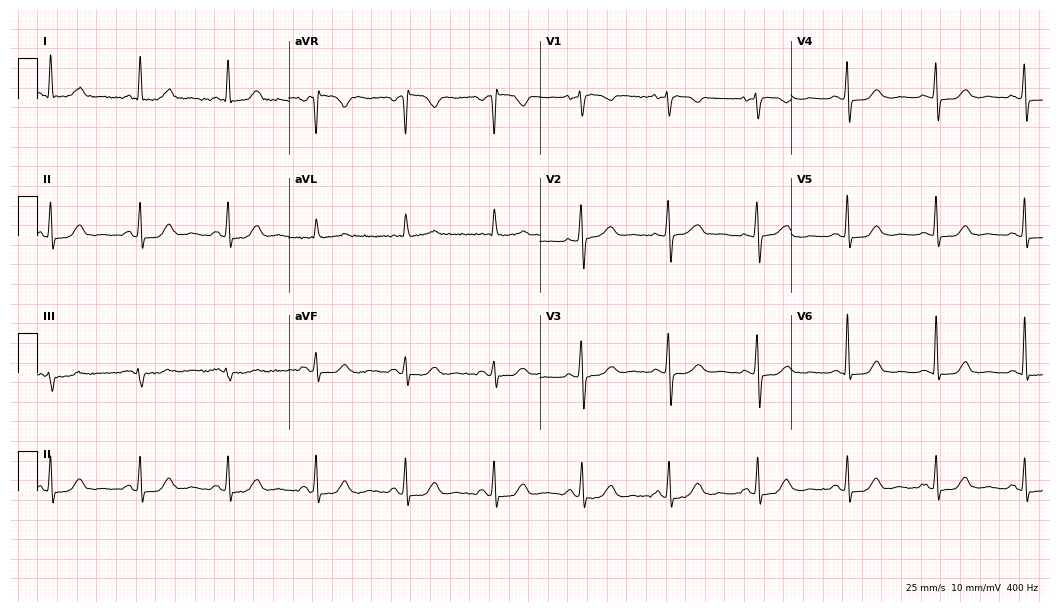
Resting 12-lead electrocardiogram. Patient: a 65-year-old female. Read as a normal ECG.